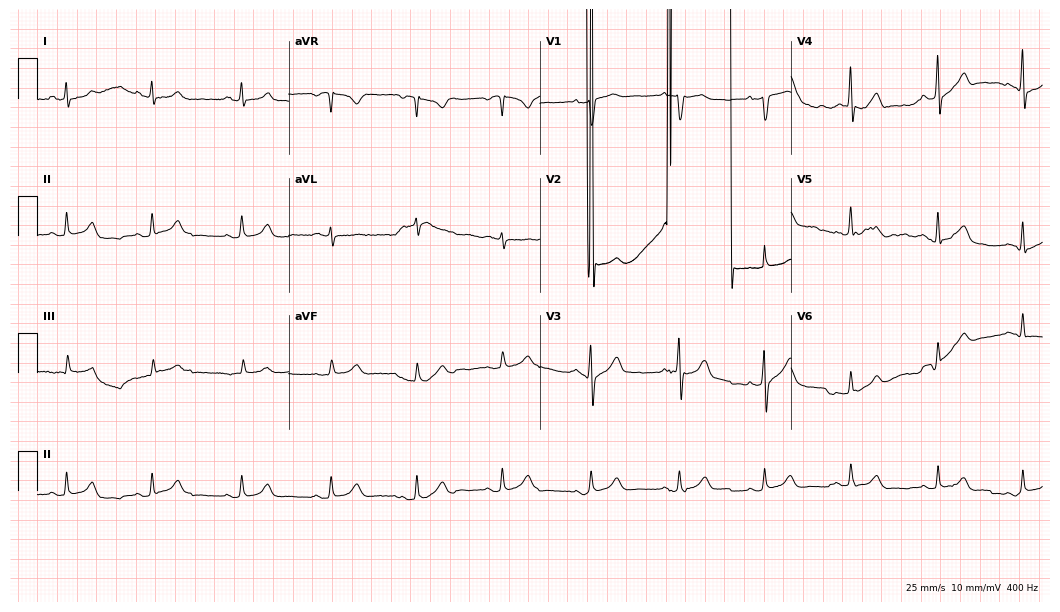
ECG — a male patient, 50 years old. Screened for six findings — first-degree AV block, right bundle branch block (RBBB), left bundle branch block (LBBB), sinus bradycardia, atrial fibrillation (AF), sinus tachycardia — none is recorded.